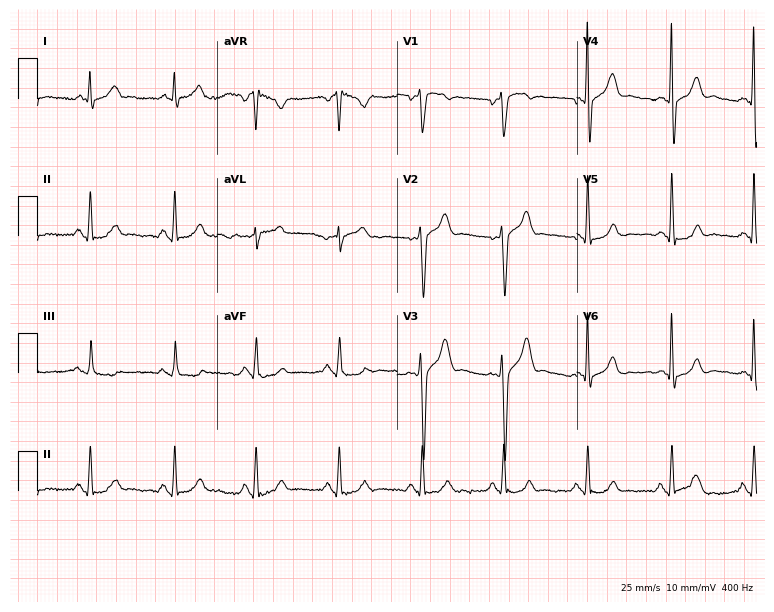
Resting 12-lead electrocardiogram. Patient: a 39-year-old male. Read as a normal ECG.